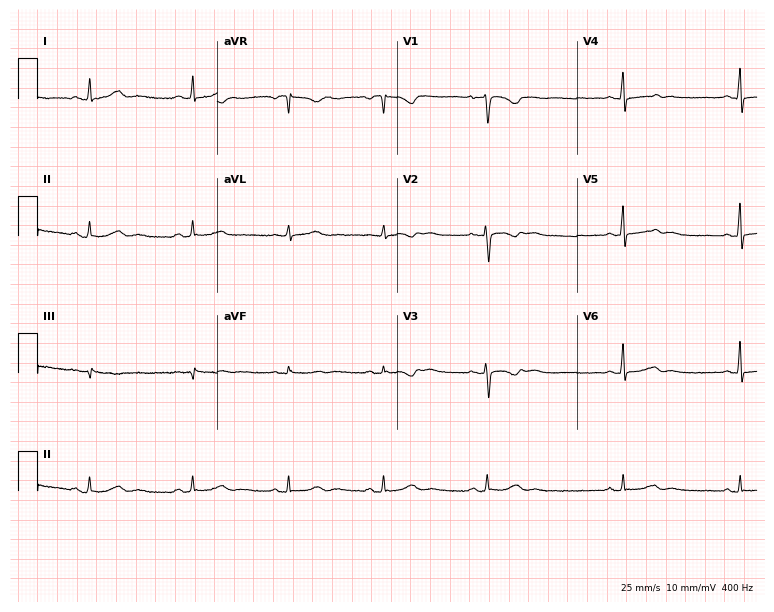
Electrocardiogram, a female patient, 35 years old. Of the six screened findings (first-degree AV block, right bundle branch block (RBBB), left bundle branch block (LBBB), sinus bradycardia, atrial fibrillation (AF), sinus tachycardia), none is recorded. Findings outside these six are not listed.